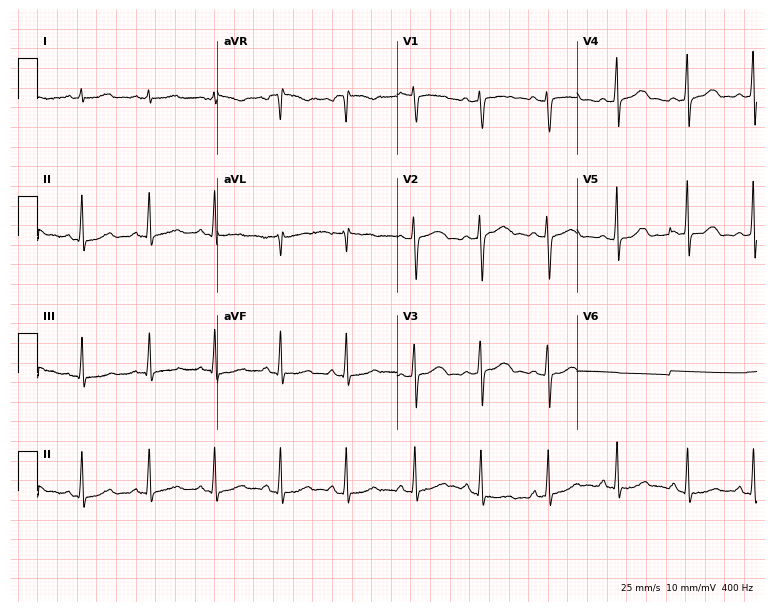
Resting 12-lead electrocardiogram (7.3-second recording at 400 Hz). Patient: a woman, 20 years old. None of these six findings is recorded: first-degree AV block, right bundle branch block, left bundle branch block, sinus bradycardia, atrial fibrillation, sinus tachycardia.